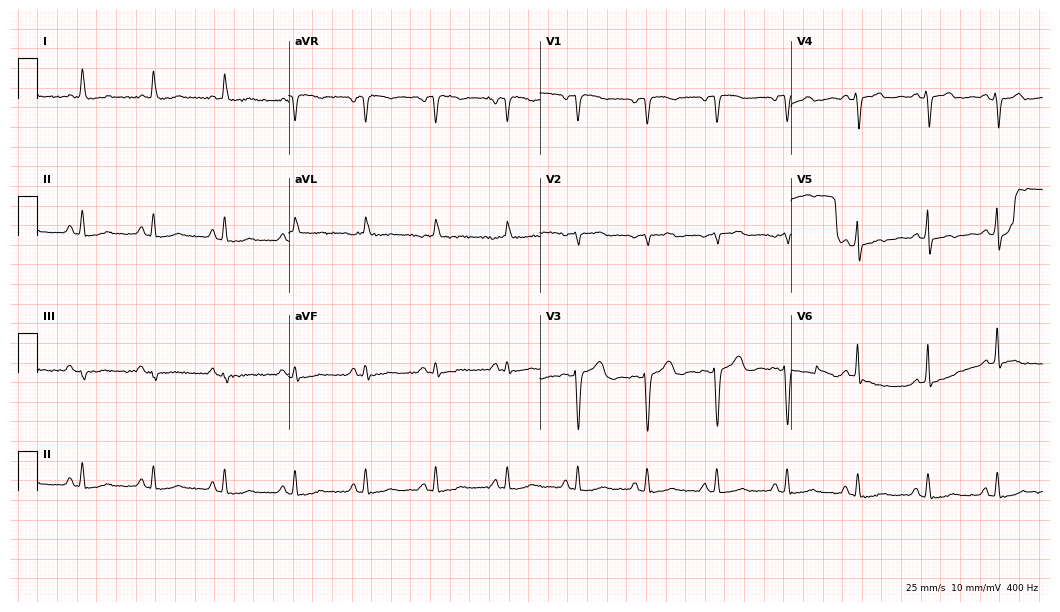
12-lead ECG from a 73-year-old female (10.2-second recording at 400 Hz). No first-degree AV block, right bundle branch block (RBBB), left bundle branch block (LBBB), sinus bradycardia, atrial fibrillation (AF) or sinus tachycardia recorded for this tracing.